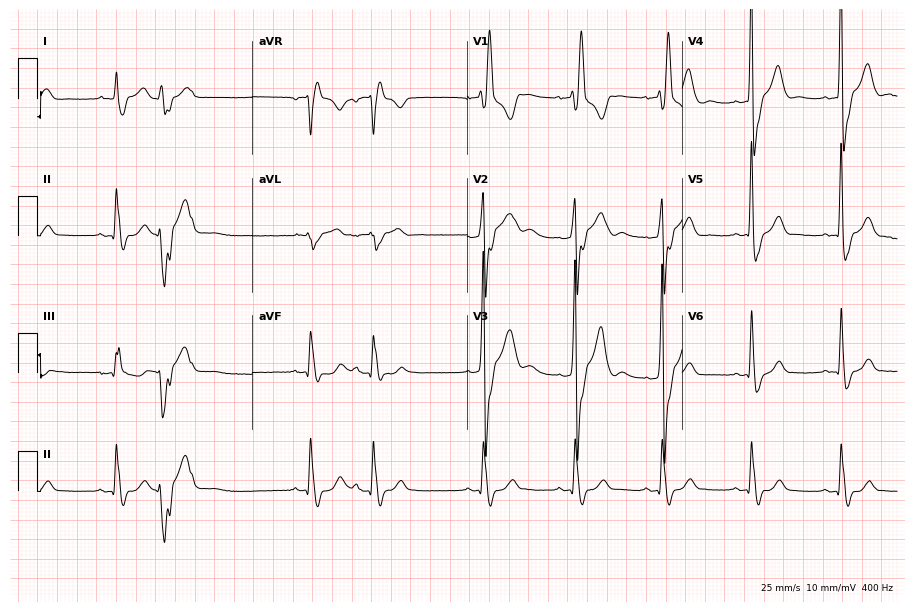
ECG (8.8-second recording at 400 Hz) — a male, 76 years old. Findings include right bundle branch block.